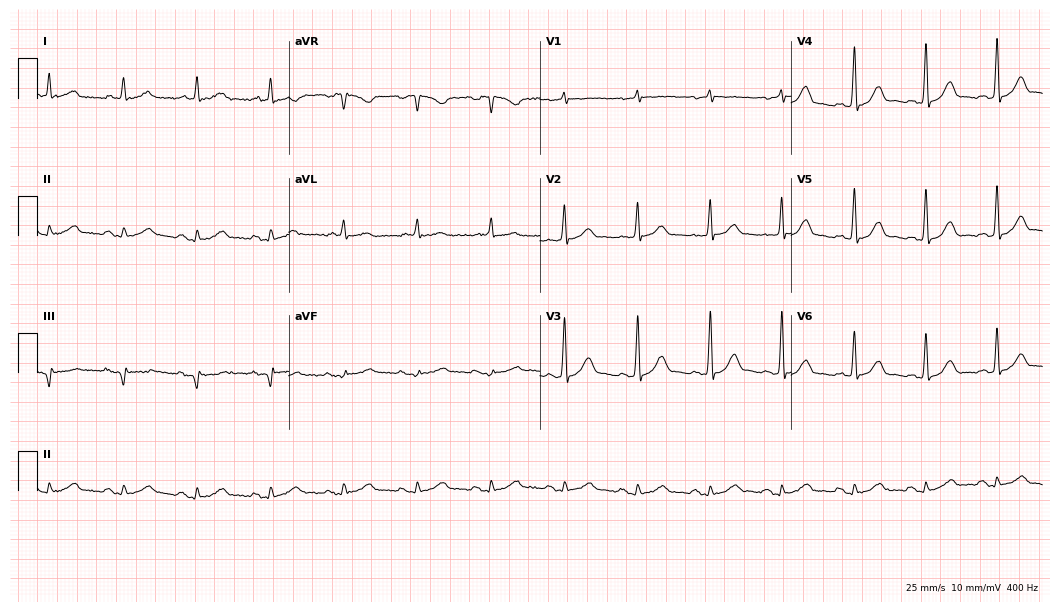
12-lead ECG from a male patient, 75 years old. No first-degree AV block, right bundle branch block, left bundle branch block, sinus bradycardia, atrial fibrillation or sinus tachycardia recorded for this tracing. Only these six findings were labelled.